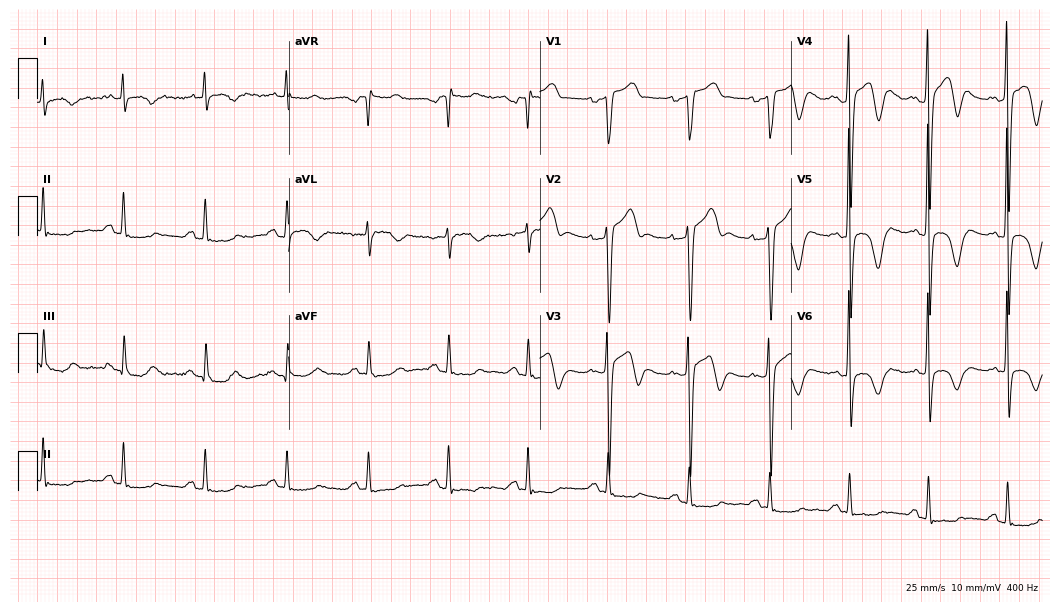
Electrocardiogram (10.2-second recording at 400 Hz), a male patient, 79 years old. Of the six screened findings (first-degree AV block, right bundle branch block, left bundle branch block, sinus bradycardia, atrial fibrillation, sinus tachycardia), none is recorded. Only these six findings were labelled.